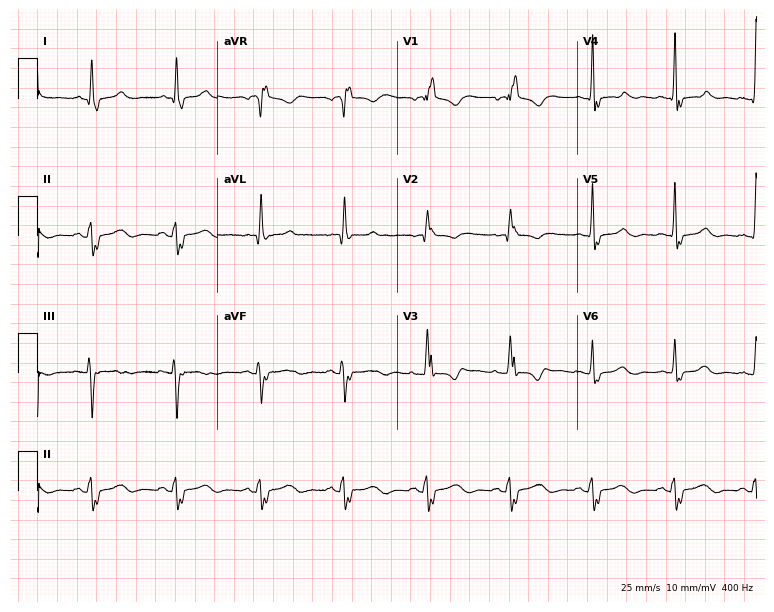
Resting 12-lead electrocardiogram (7.3-second recording at 400 Hz). Patient: a 22-year-old male. The tracing shows right bundle branch block.